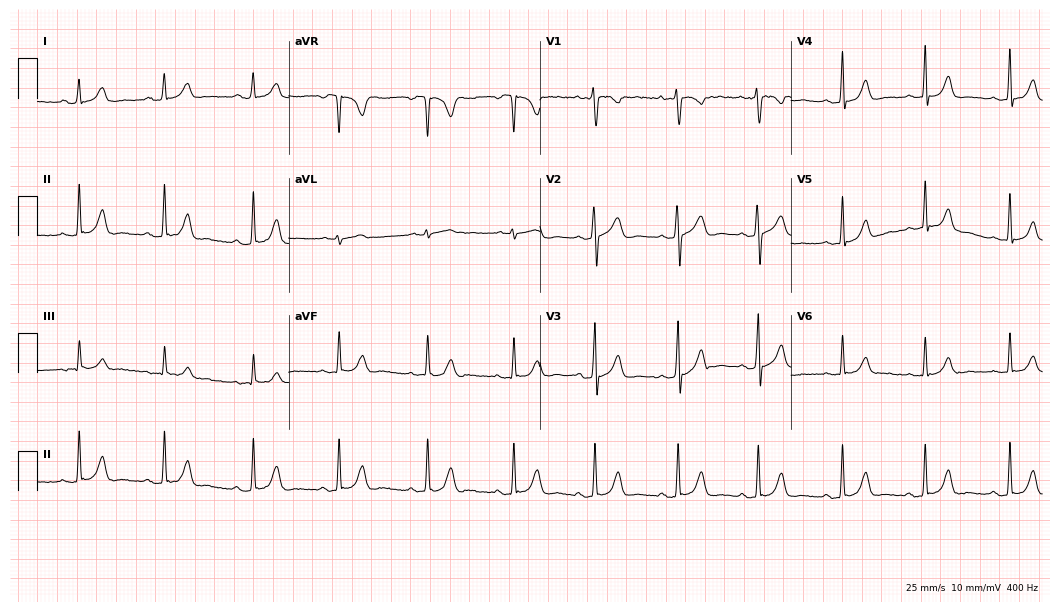
12-lead ECG (10.2-second recording at 400 Hz) from a 20-year-old female. Labelled as a normal ECG.